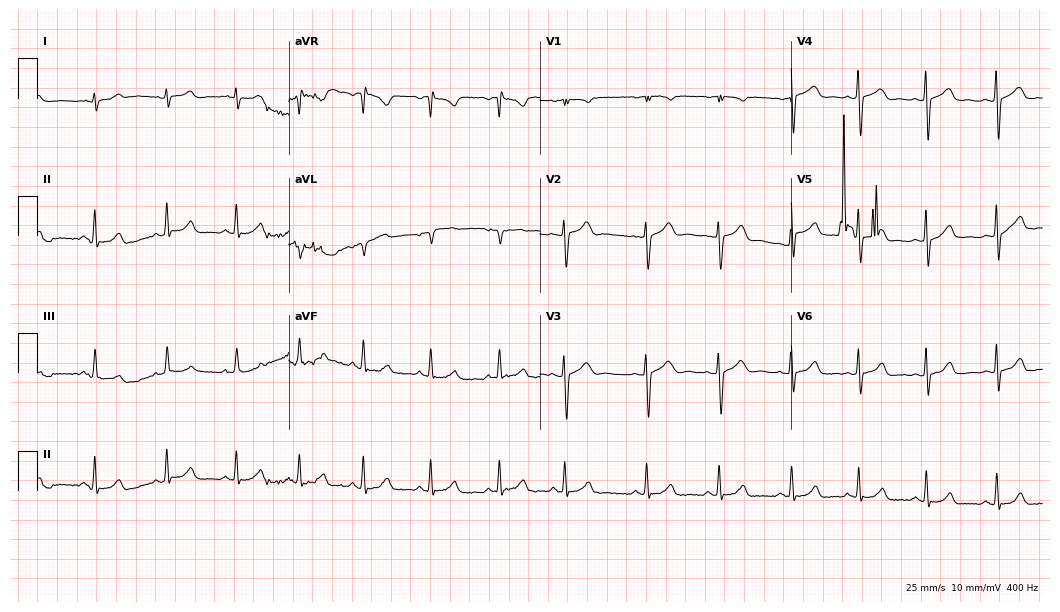
Electrocardiogram (10.2-second recording at 400 Hz), a female patient, 22 years old. Of the six screened findings (first-degree AV block, right bundle branch block, left bundle branch block, sinus bradycardia, atrial fibrillation, sinus tachycardia), none is recorded. Findings outside these six are not listed.